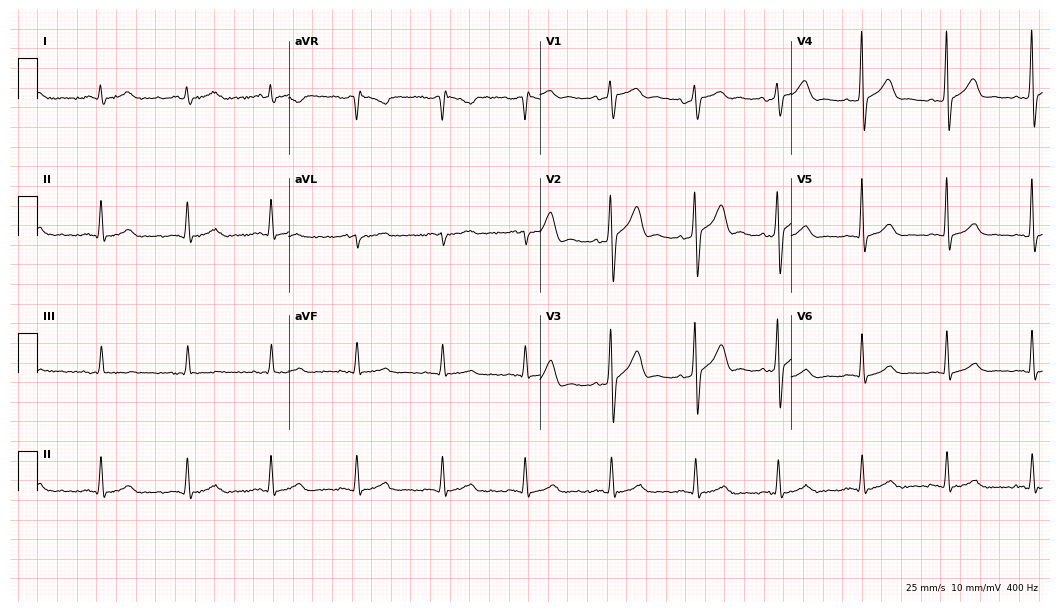
12-lead ECG from a man, 50 years old (10.2-second recording at 400 Hz). Recorded interpretation: within normal limits.